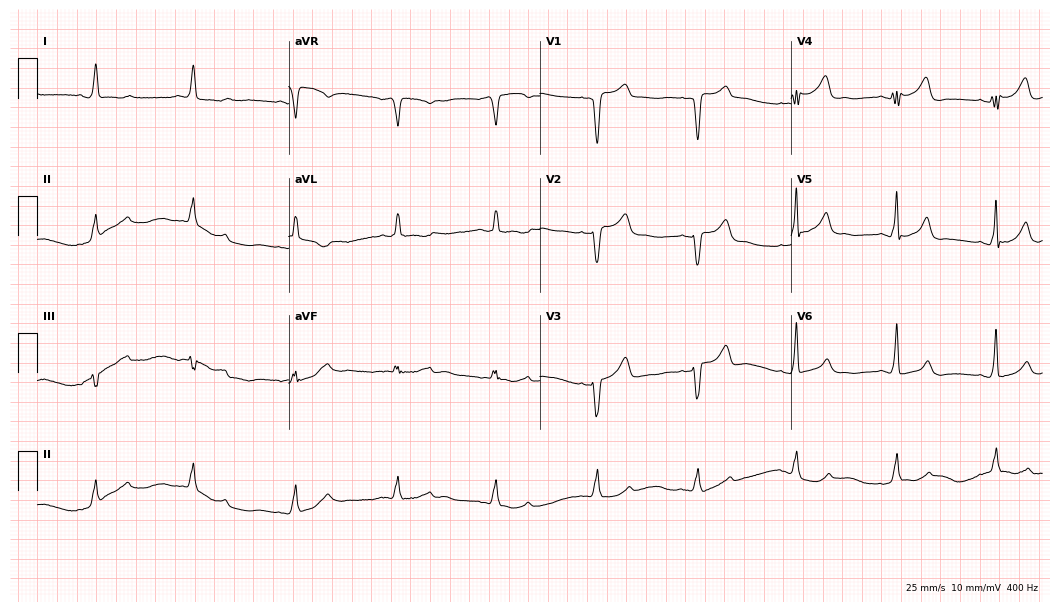
Standard 12-lead ECG recorded from a woman, 69 years old (10.2-second recording at 400 Hz). None of these six findings is recorded: first-degree AV block, right bundle branch block (RBBB), left bundle branch block (LBBB), sinus bradycardia, atrial fibrillation (AF), sinus tachycardia. Findings outside these six are not listed.